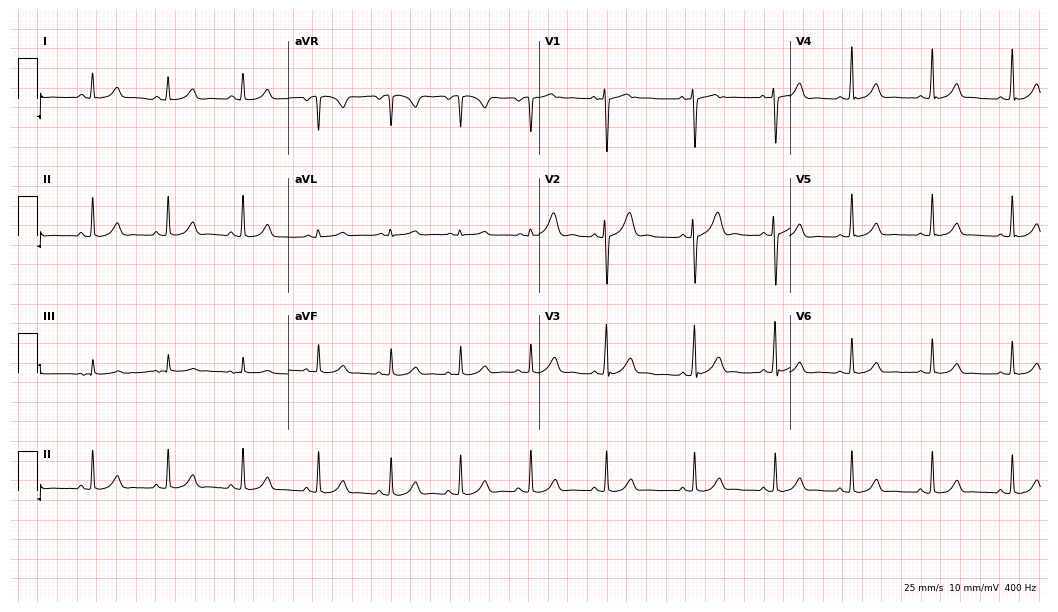
12-lead ECG from an 18-year-old woman (10.2-second recording at 400 Hz). Recorded interpretation: within normal limits.